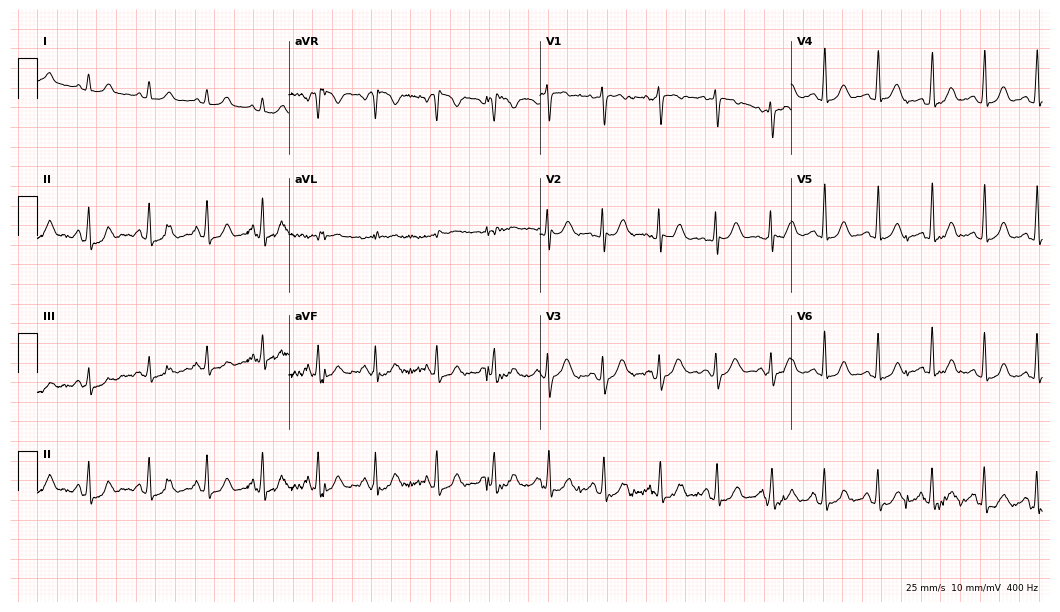
Electrocardiogram, a 23-year-old female patient. Interpretation includes sinus tachycardia (a sinus rate of 100 beats per minute or more).